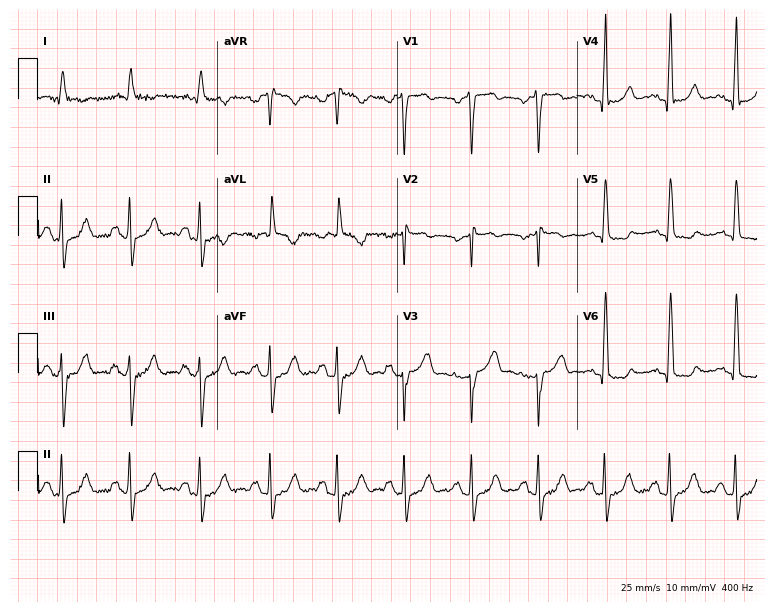
Resting 12-lead electrocardiogram. Patient: an 83-year-old male. None of these six findings is recorded: first-degree AV block, right bundle branch block (RBBB), left bundle branch block (LBBB), sinus bradycardia, atrial fibrillation (AF), sinus tachycardia. Findings outside these six are not listed.